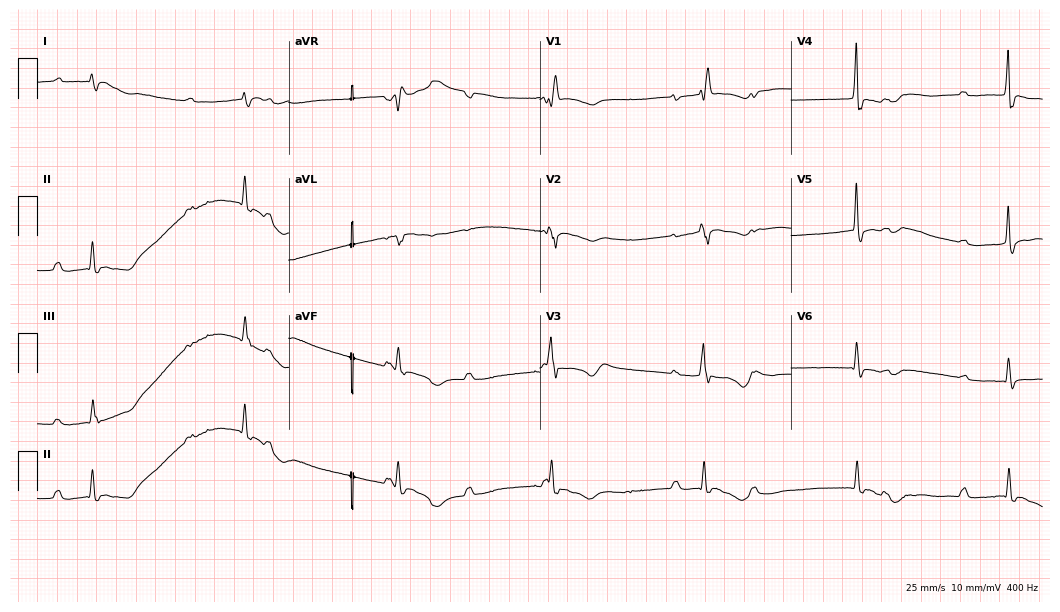
Standard 12-lead ECG recorded from a female, 61 years old (10.2-second recording at 400 Hz). The tracing shows first-degree AV block.